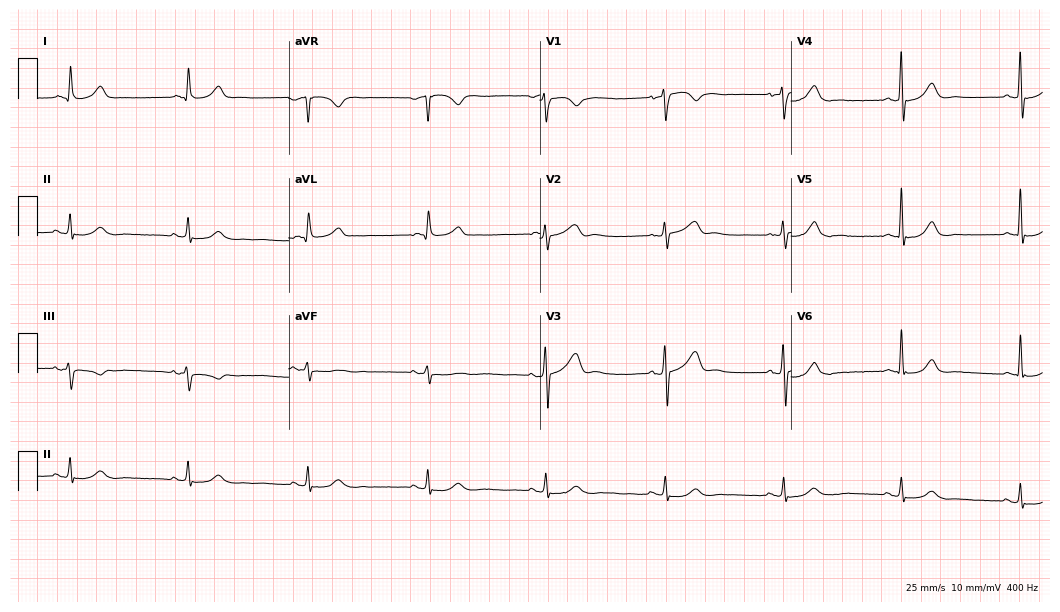
12-lead ECG from a male, 66 years old. Labelled as a normal ECG.